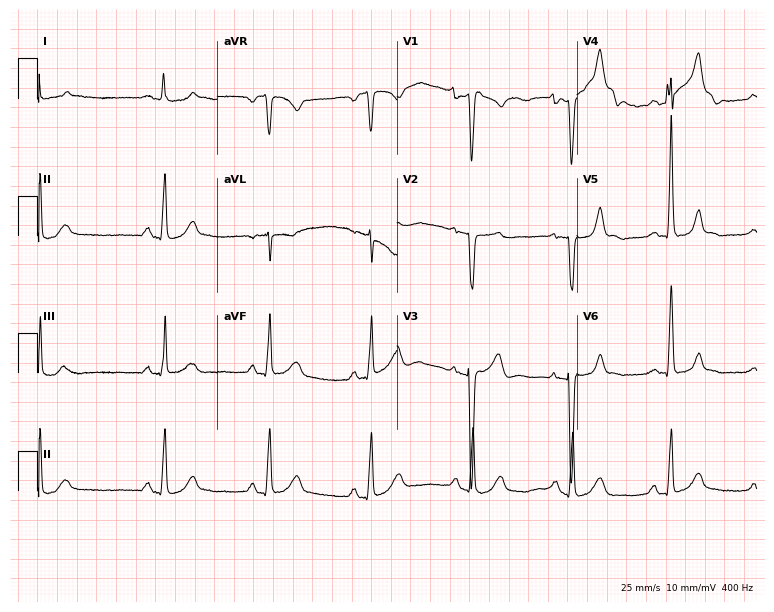
Standard 12-lead ECG recorded from a female patient, 43 years old. None of these six findings is recorded: first-degree AV block, right bundle branch block, left bundle branch block, sinus bradycardia, atrial fibrillation, sinus tachycardia.